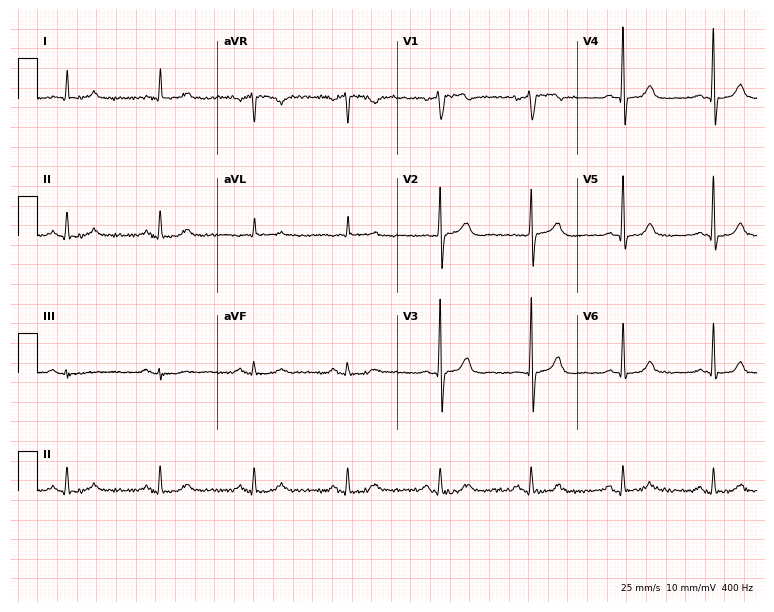
ECG — a 67-year-old male. Screened for six findings — first-degree AV block, right bundle branch block, left bundle branch block, sinus bradycardia, atrial fibrillation, sinus tachycardia — none is recorded.